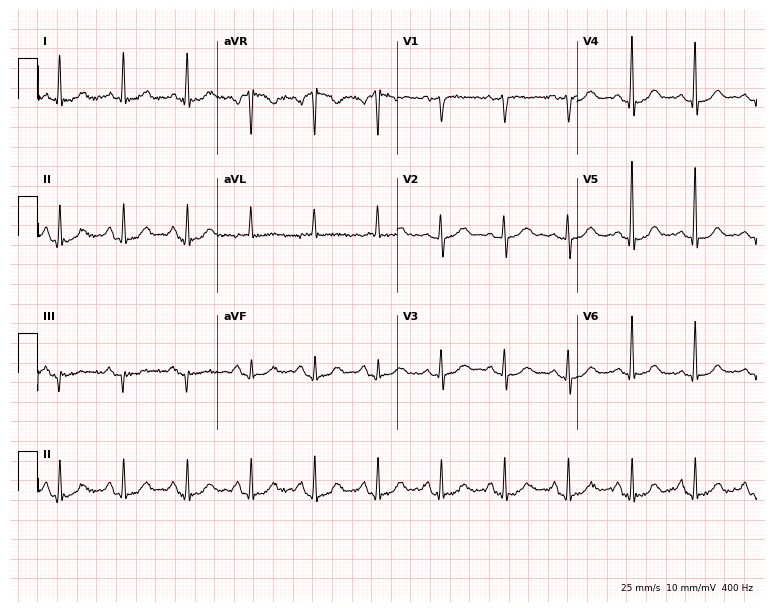
Standard 12-lead ECG recorded from a female patient, 76 years old. None of these six findings is recorded: first-degree AV block, right bundle branch block, left bundle branch block, sinus bradycardia, atrial fibrillation, sinus tachycardia.